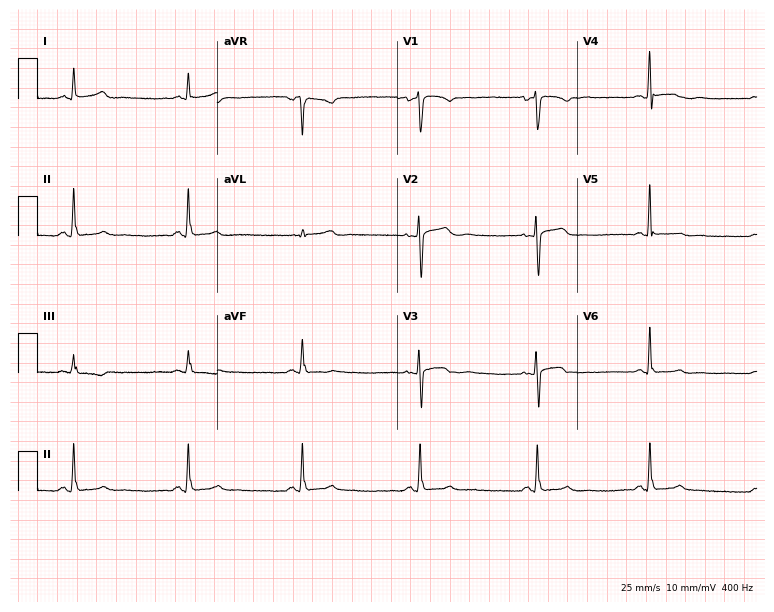
12-lead ECG from a 72-year-old female patient. Labelled as a normal ECG.